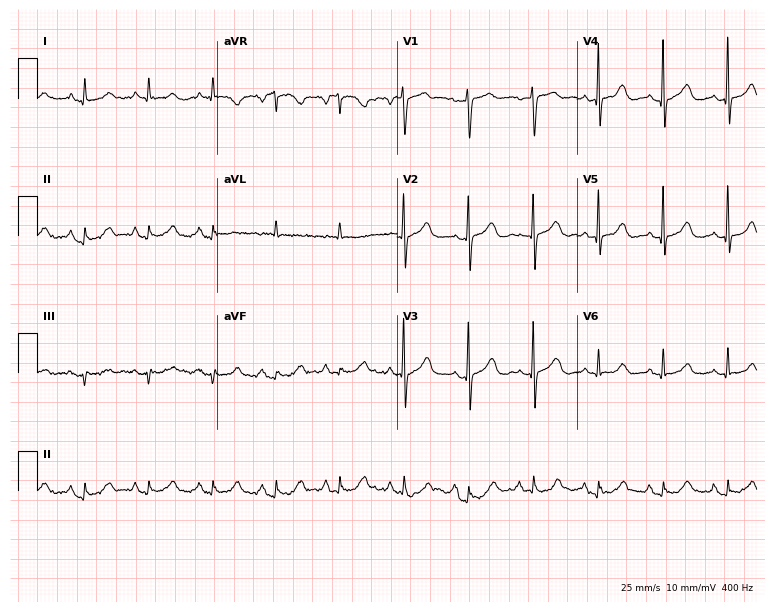
Standard 12-lead ECG recorded from a 77-year-old female (7.3-second recording at 400 Hz). Read as a normal ECG.